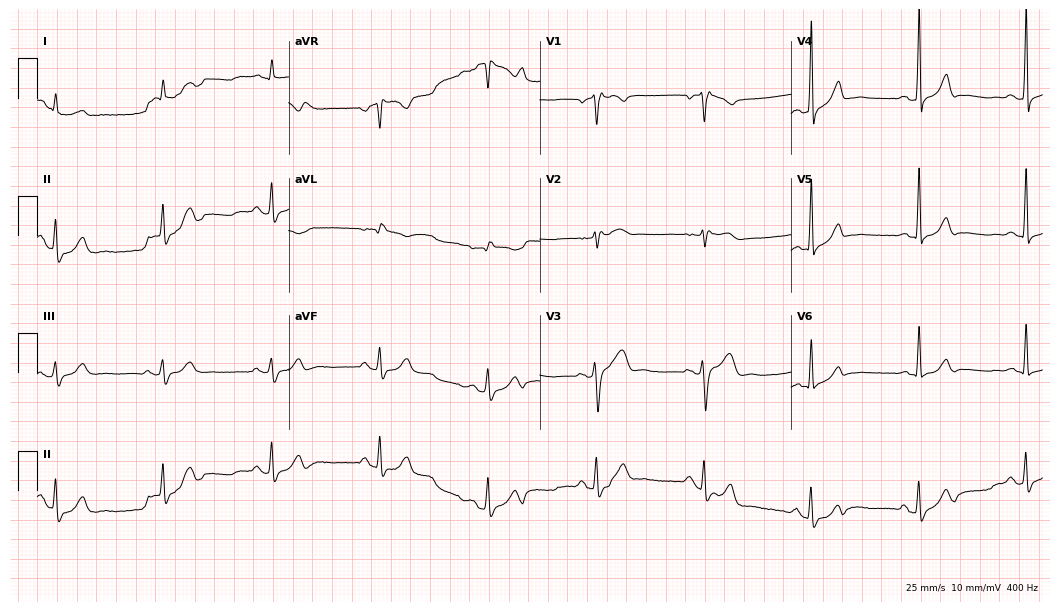
Standard 12-lead ECG recorded from a 45-year-old male patient. The tracing shows right bundle branch block.